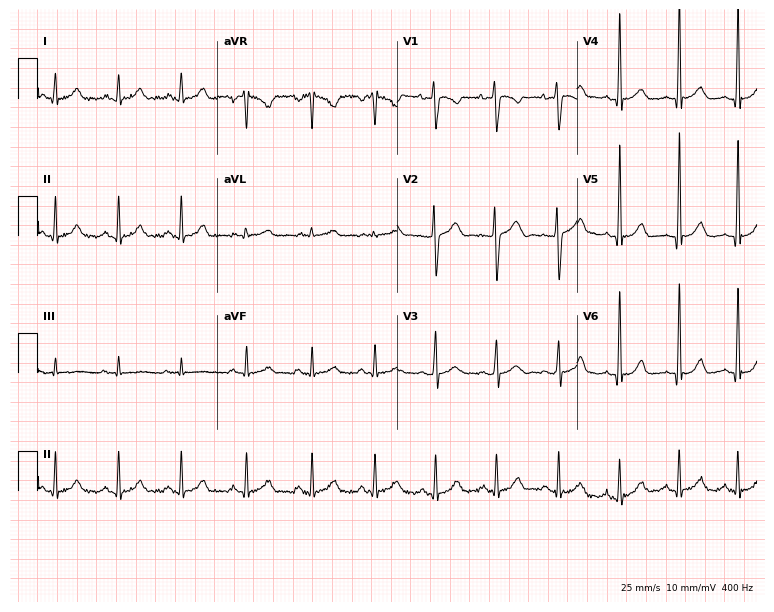
12-lead ECG from a woman, 33 years old. No first-degree AV block, right bundle branch block, left bundle branch block, sinus bradycardia, atrial fibrillation or sinus tachycardia recorded for this tracing. Other findings, if any, are not listed.